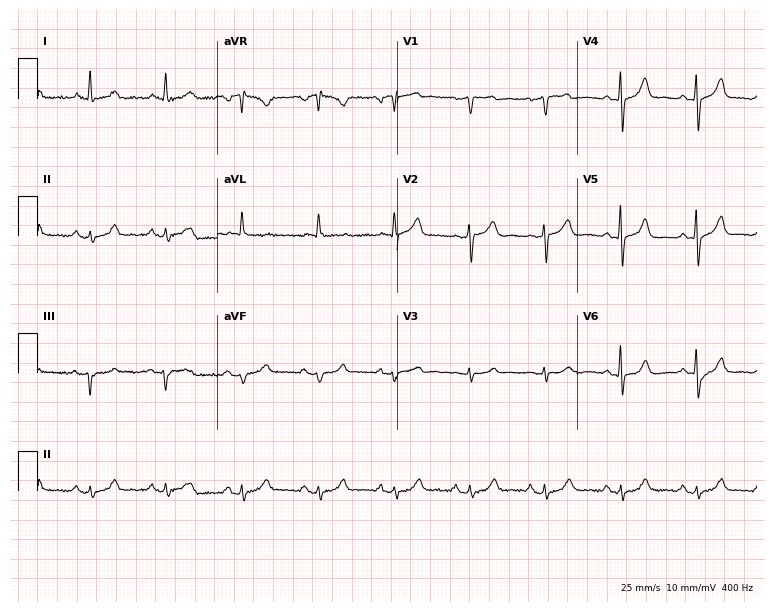
ECG (7.3-second recording at 400 Hz) — a man, 80 years old. Labelled as a normal ECG.